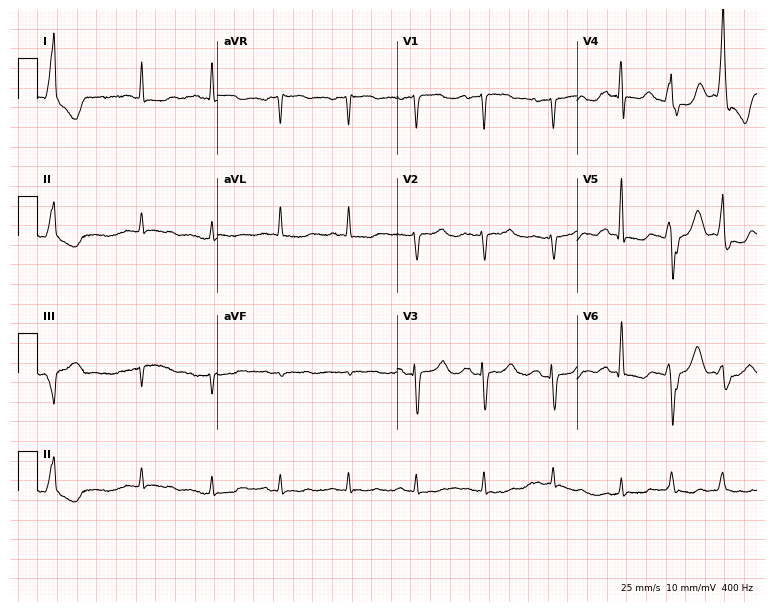
Electrocardiogram (7.3-second recording at 400 Hz), a woman, 56 years old. Of the six screened findings (first-degree AV block, right bundle branch block, left bundle branch block, sinus bradycardia, atrial fibrillation, sinus tachycardia), none is recorded. Other findings, if any, are not listed.